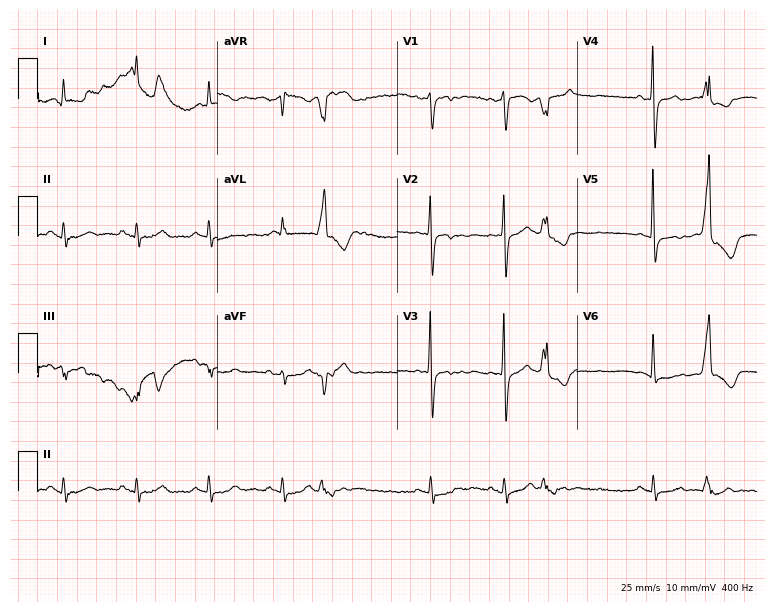
Electrocardiogram (7.3-second recording at 400 Hz), a female, 84 years old. Of the six screened findings (first-degree AV block, right bundle branch block (RBBB), left bundle branch block (LBBB), sinus bradycardia, atrial fibrillation (AF), sinus tachycardia), none is recorded.